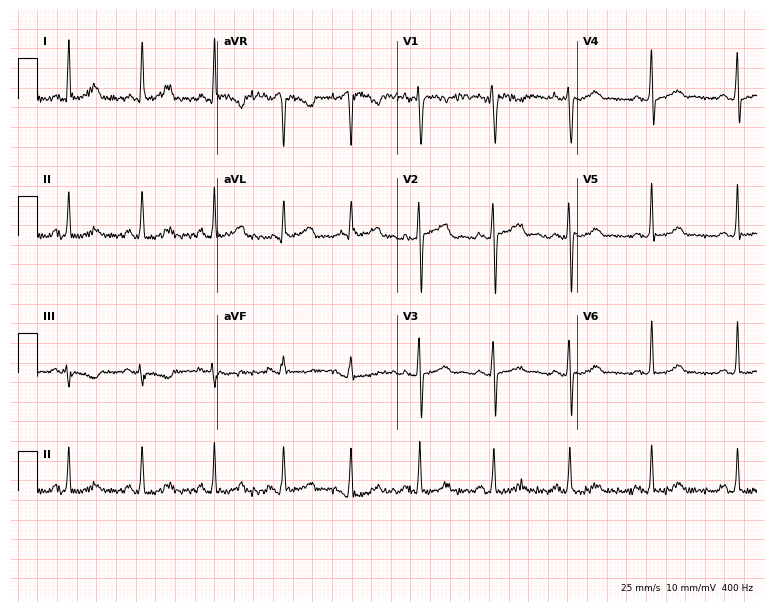
Standard 12-lead ECG recorded from a 26-year-old female patient (7.3-second recording at 400 Hz). Read as a normal ECG.